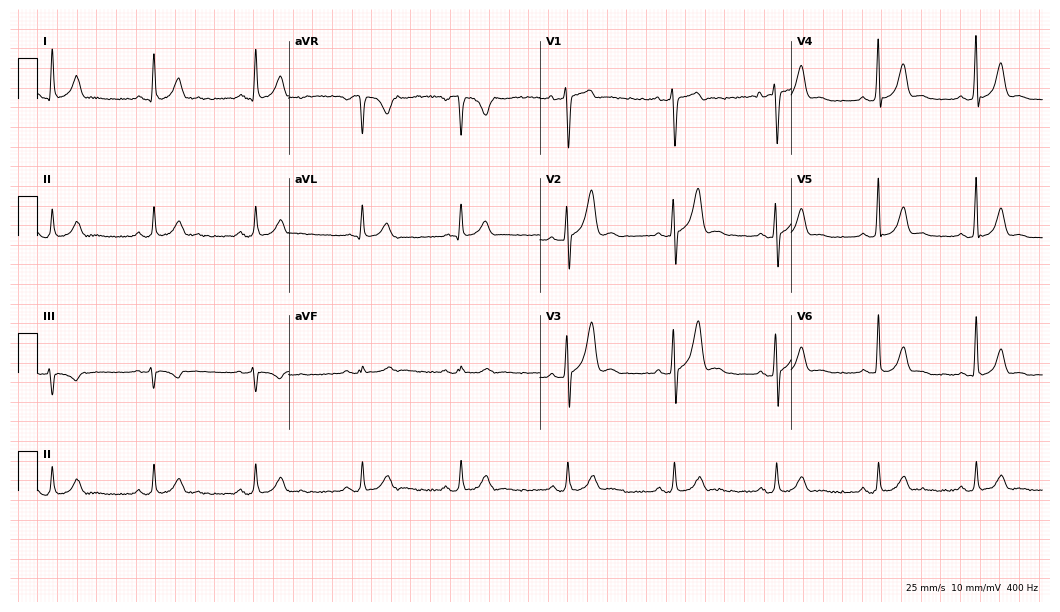
ECG — a man, 46 years old. Screened for six findings — first-degree AV block, right bundle branch block, left bundle branch block, sinus bradycardia, atrial fibrillation, sinus tachycardia — none is recorded. Only these six findings were labelled.